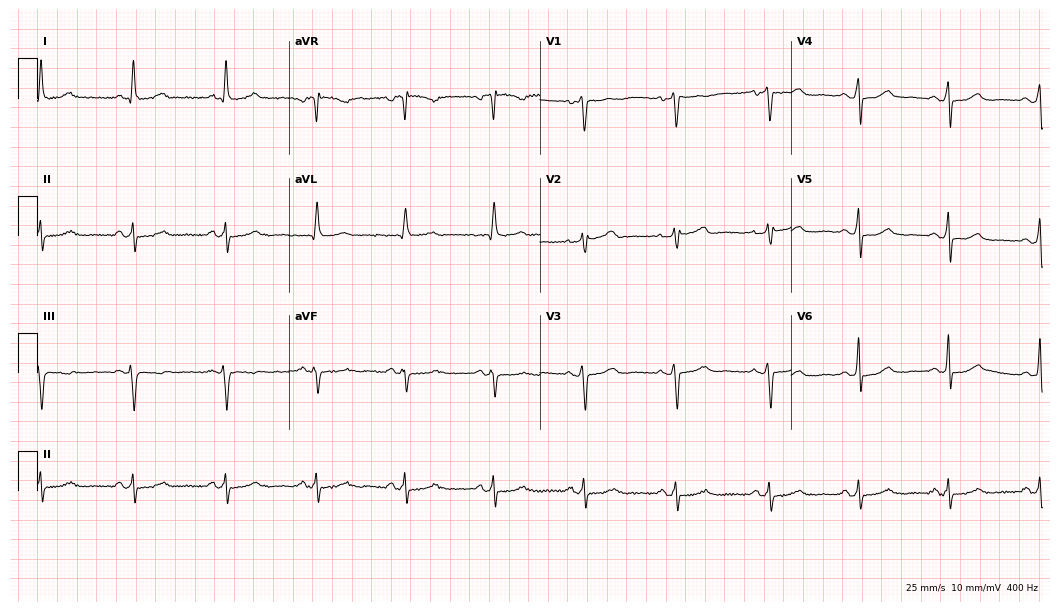
Standard 12-lead ECG recorded from a woman, 69 years old. None of these six findings is recorded: first-degree AV block, right bundle branch block, left bundle branch block, sinus bradycardia, atrial fibrillation, sinus tachycardia. Findings outside these six are not listed.